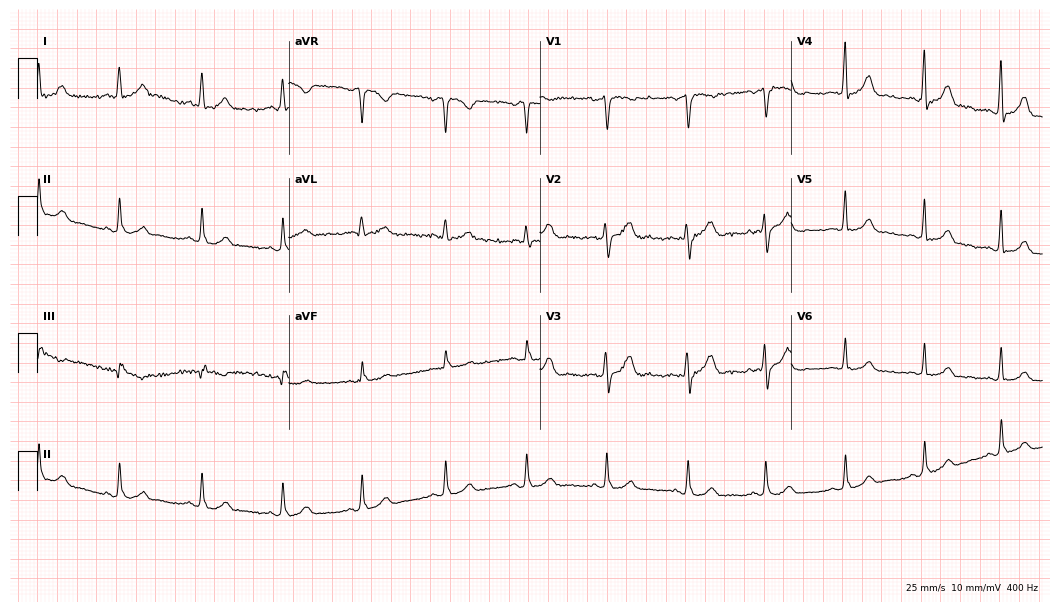
Electrocardiogram, a female, 50 years old. Overall reading on record: normal ECG.